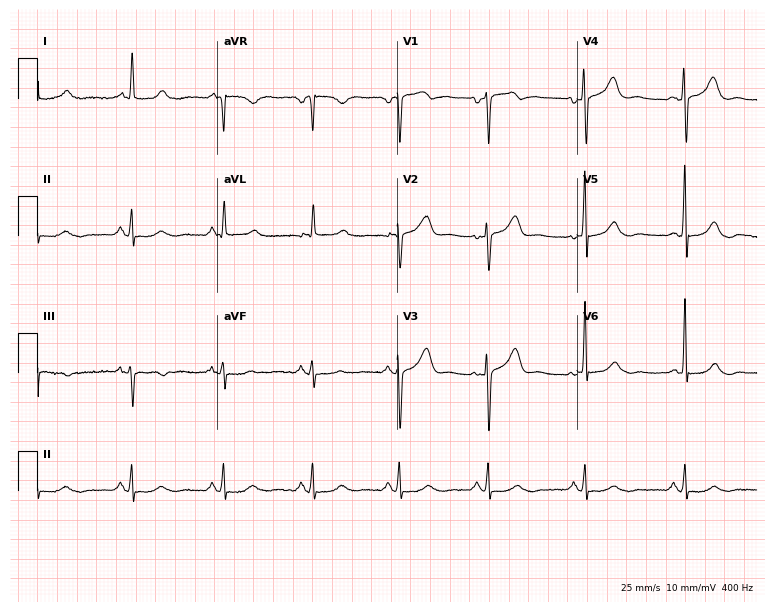
ECG — a 71-year-old woman. Labelled as a normal ECG.